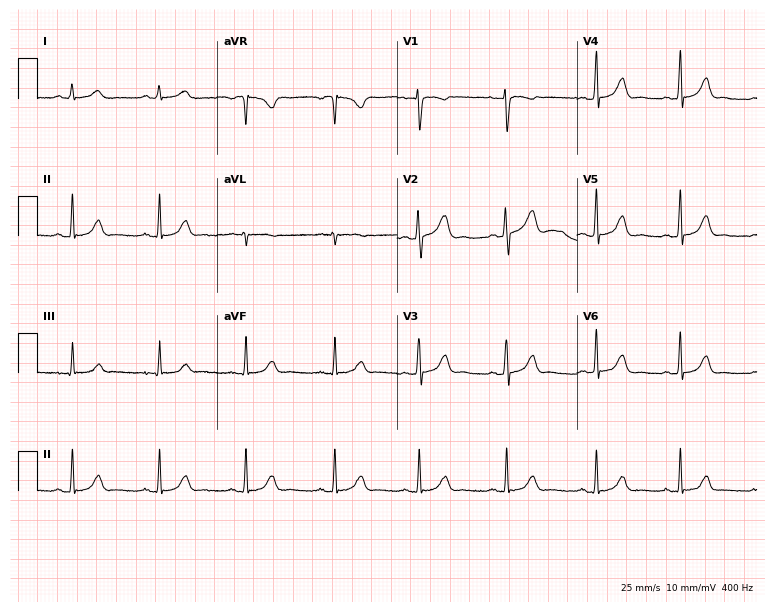
ECG — a 31-year-old female. Labelled as a normal ECG.